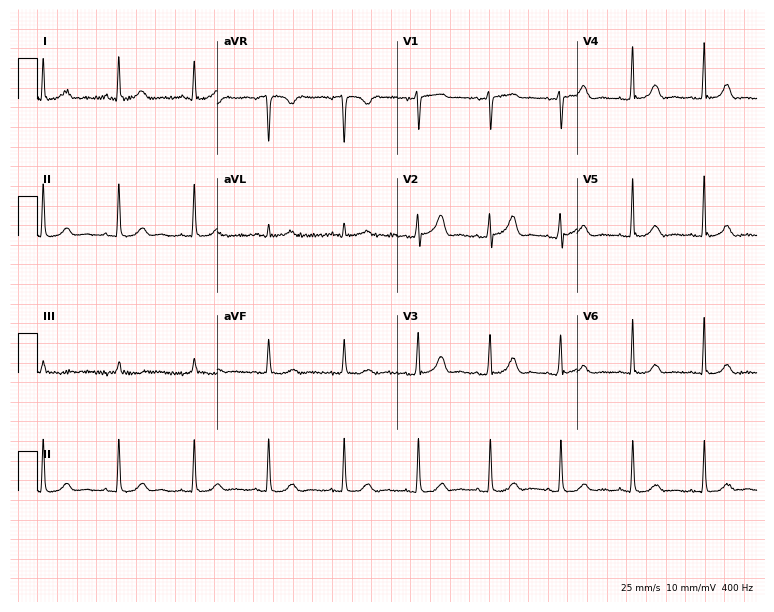
12-lead ECG from a 64-year-old female patient. Recorded interpretation: within normal limits.